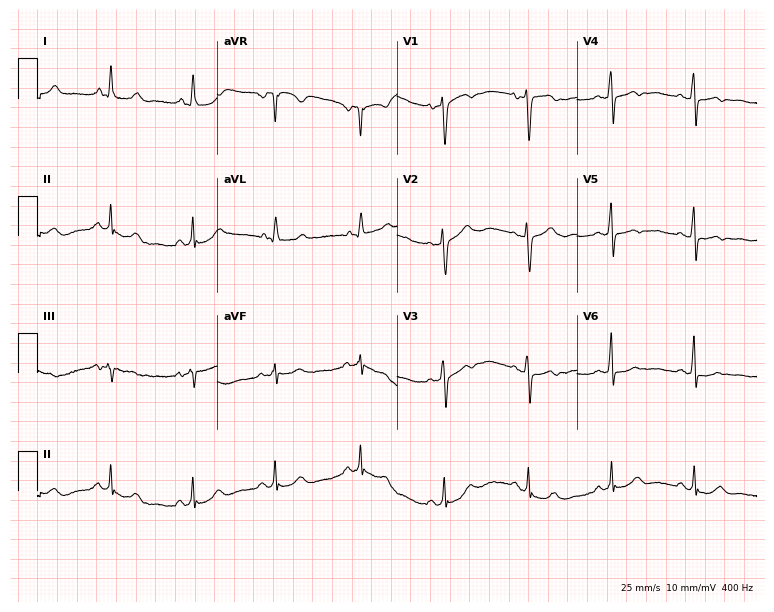
Standard 12-lead ECG recorded from a 54-year-old female patient. Read as a normal ECG.